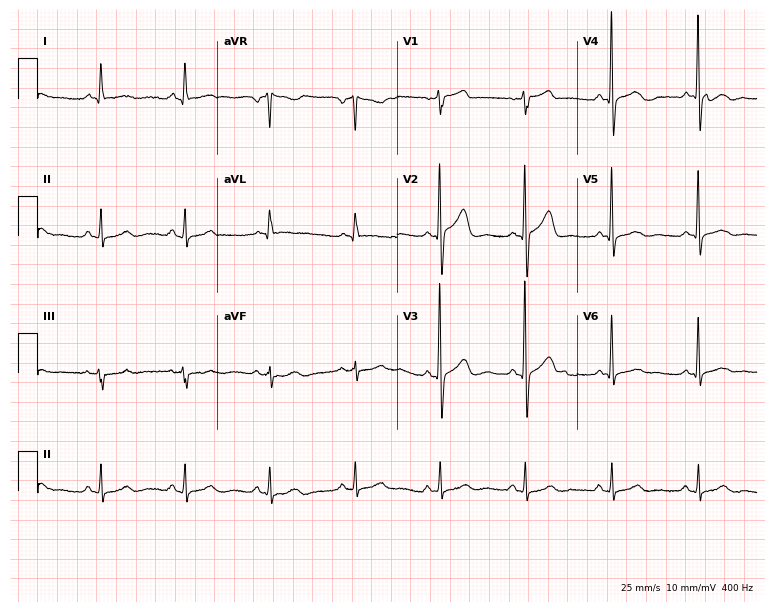
12-lead ECG (7.3-second recording at 400 Hz) from a man, 70 years old. Labelled as a normal ECG.